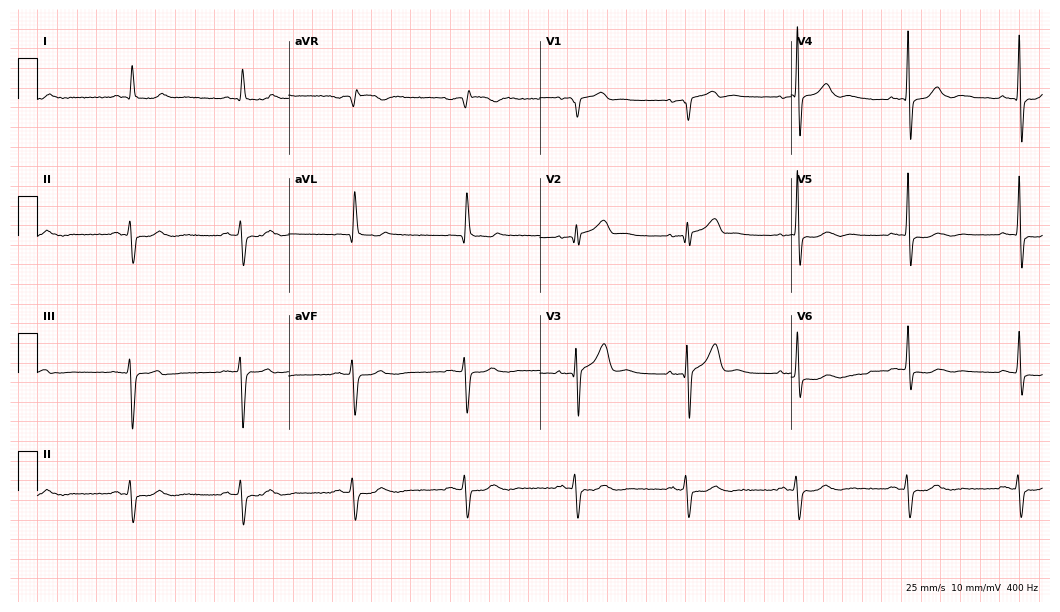
Standard 12-lead ECG recorded from a 79-year-old female patient. None of these six findings is recorded: first-degree AV block, right bundle branch block, left bundle branch block, sinus bradycardia, atrial fibrillation, sinus tachycardia. Other findings, if any, are not listed.